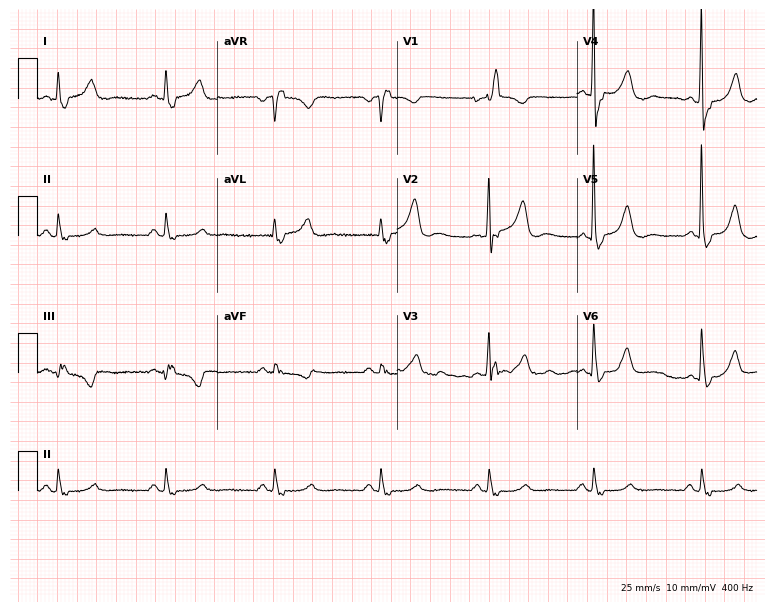
Standard 12-lead ECG recorded from a female patient, 73 years old. The tracing shows right bundle branch block.